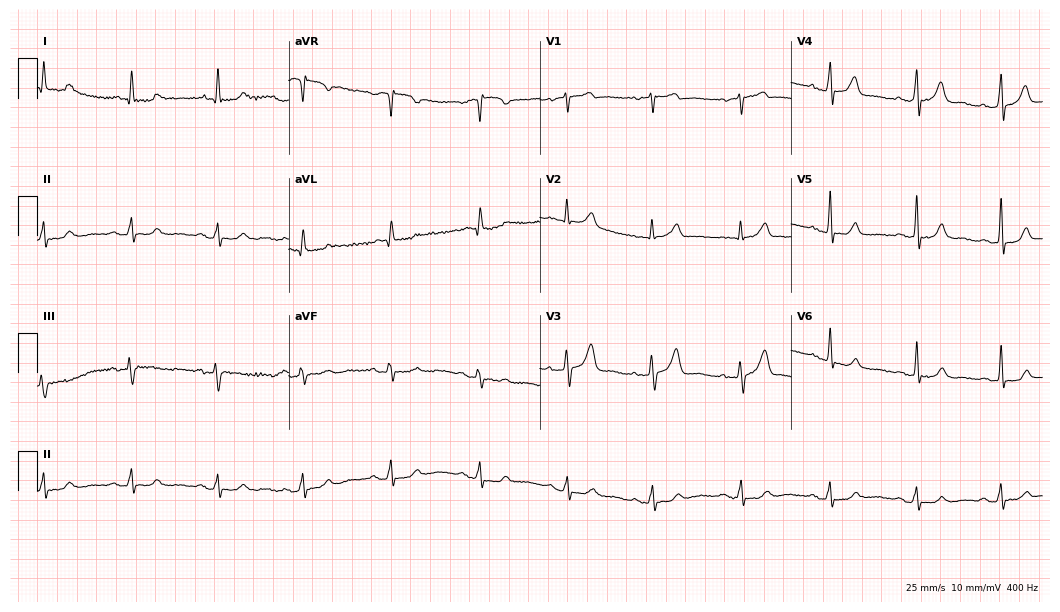
Electrocardiogram, a female, 79 years old. Overall reading on record: normal ECG.